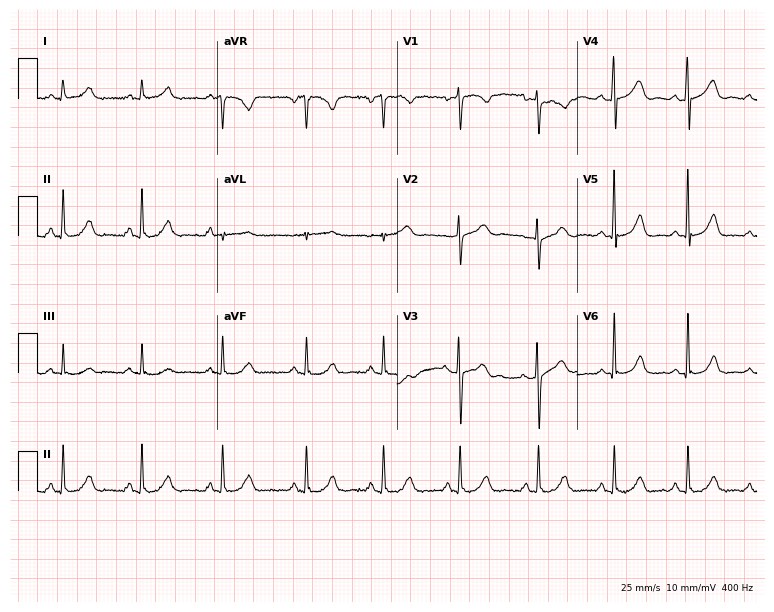
Standard 12-lead ECG recorded from a 45-year-old woman. Read as a normal ECG.